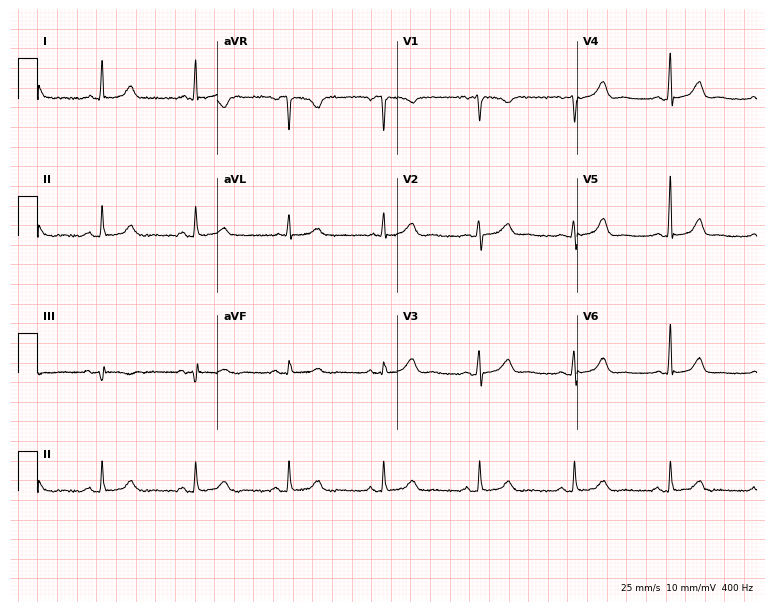
12-lead ECG from a female, 65 years old. Screened for six findings — first-degree AV block, right bundle branch block (RBBB), left bundle branch block (LBBB), sinus bradycardia, atrial fibrillation (AF), sinus tachycardia — none is recorded. Findings outside these six are not listed.